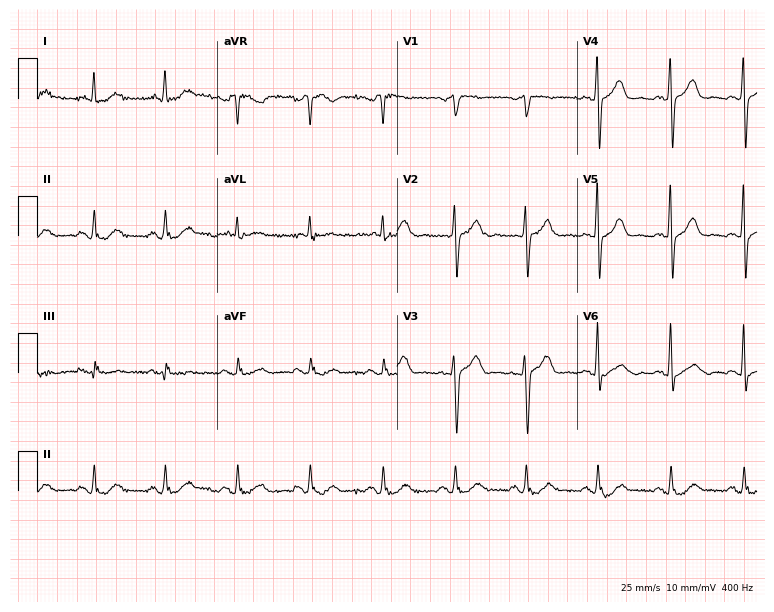
12-lead ECG from a male, 59 years old (7.3-second recording at 400 Hz). Recorded interpretation: within normal limits.